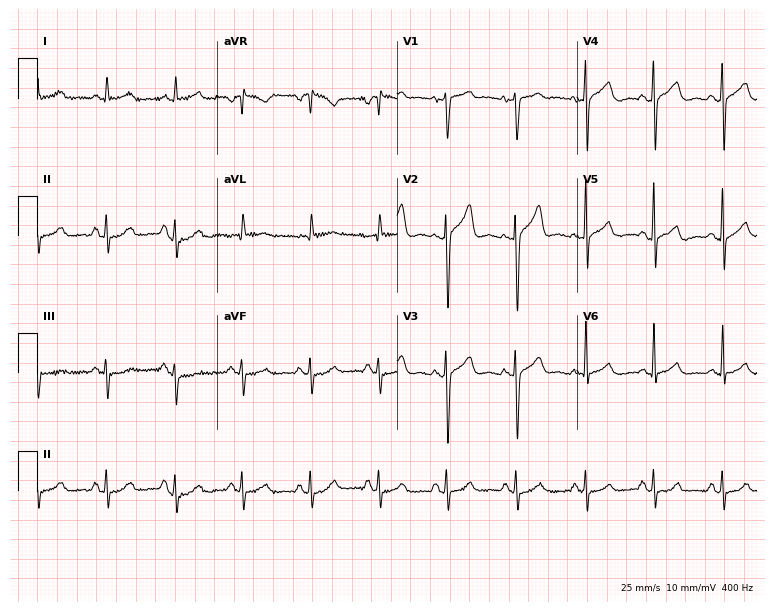
Standard 12-lead ECG recorded from a 39-year-old man. Read as a normal ECG.